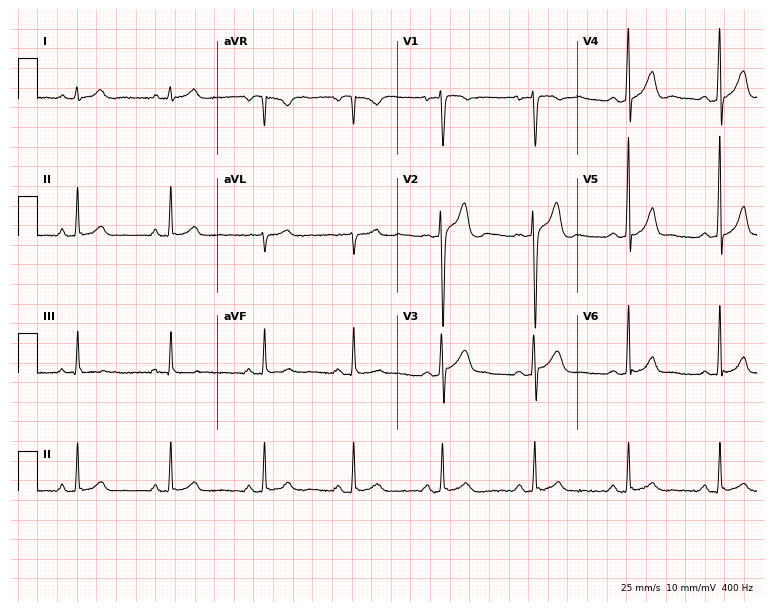
Electrocardiogram (7.3-second recording at 400 Hz), a man, 24 years old. Overall reading on record: normal ECG.